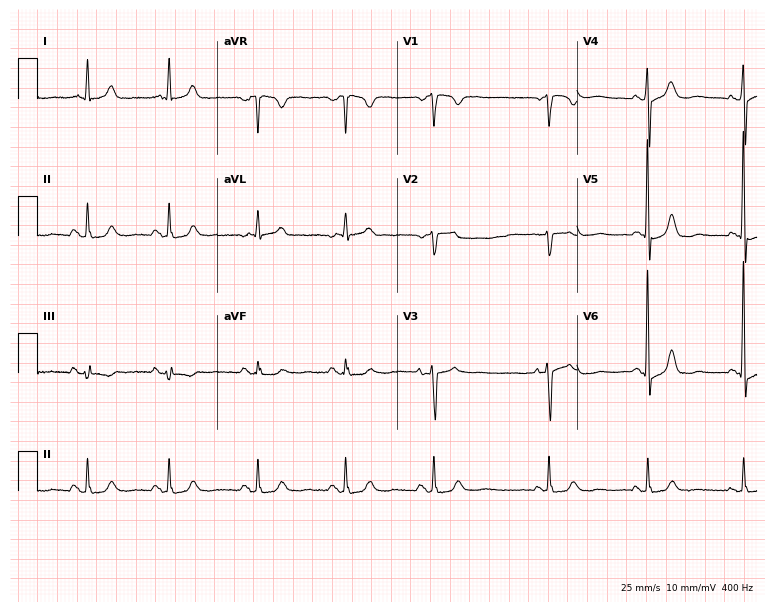
Standard 12-lead ECG recorded from a 71-year-old female patient (7.3-second recording at 400 Hz). None of these six findings is recorded: first-degree AV block, right bundle branch block, left bundle branch block, sinus bradycardia, atrial fibrillation, sinus tachycardia. Findings outside these six are not listed.